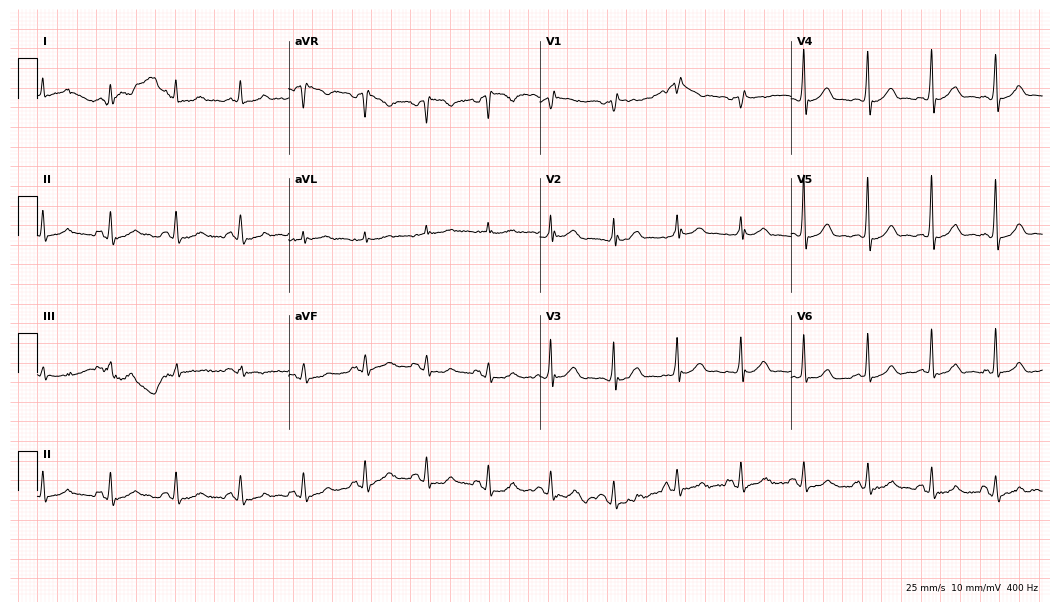
Standard 12-lead ECG recorded from a man, 59 years old (10.2-second recording at 400 Hz). None of these six findings is recorded: first-degree AV block, right bundle branch block, left bundle branch block, sinus bradycardia, atrial fibrillation, sinus tachycardia.